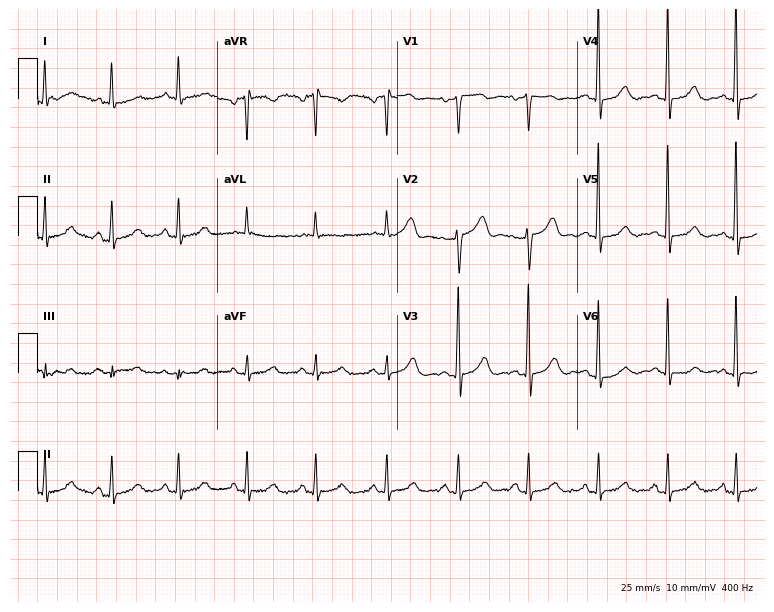
Resting 12-lead electrocardiogram. Patient: a 78-year-old female. None of these six findings is recorded: first-degree AV block, right bundle branch block, left bundle branch block, sinus bradycardia, atrial fibrillation, sinus tachycardia. Only these six findings were labelled.